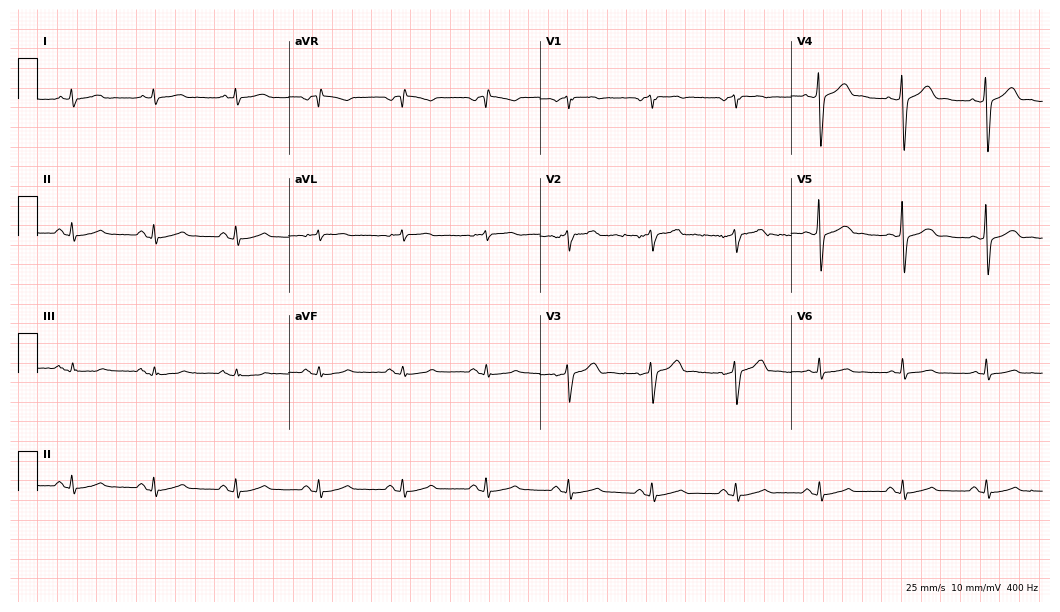
12-lead ECG (10.2-second recording at 400 Hz) from a 47-year-old man. Labelled as a normal ECG.